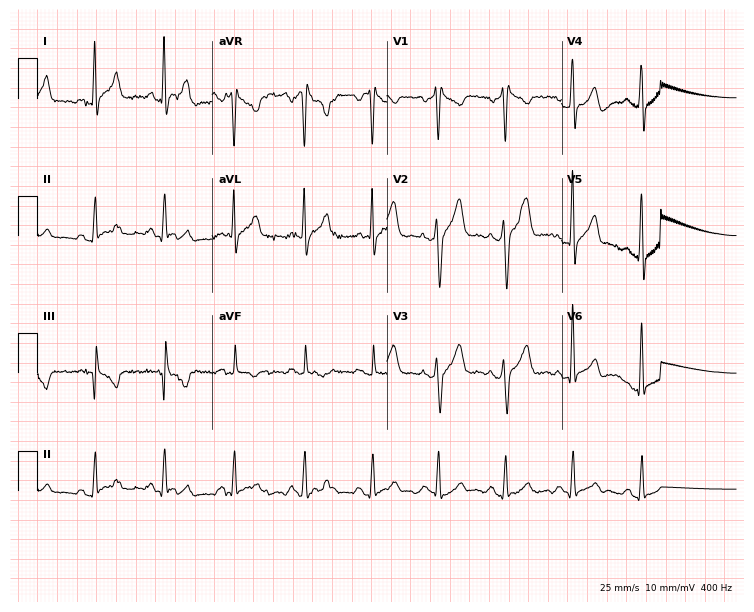
Electrocardiogram (7.1-second recording at 400 Hz), a man, 48 years old. Of the six screened findings (first-degree AV block, right bundle branch block (RBBB), left bundle branch block (LBBB), sinus bradycardia, atrial fibrillation (AF), sinus tachycardia), none is recorded.